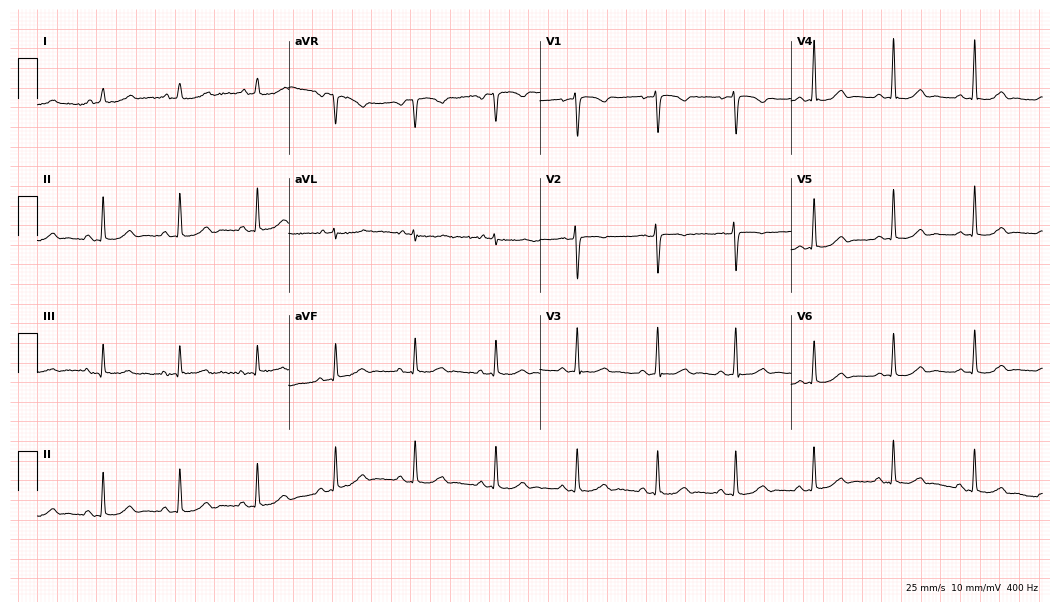
Standard 12-lead ECG recorded from a 43-year-old female (10.2-second recording at 400 Hz). Read as a normal ECG.